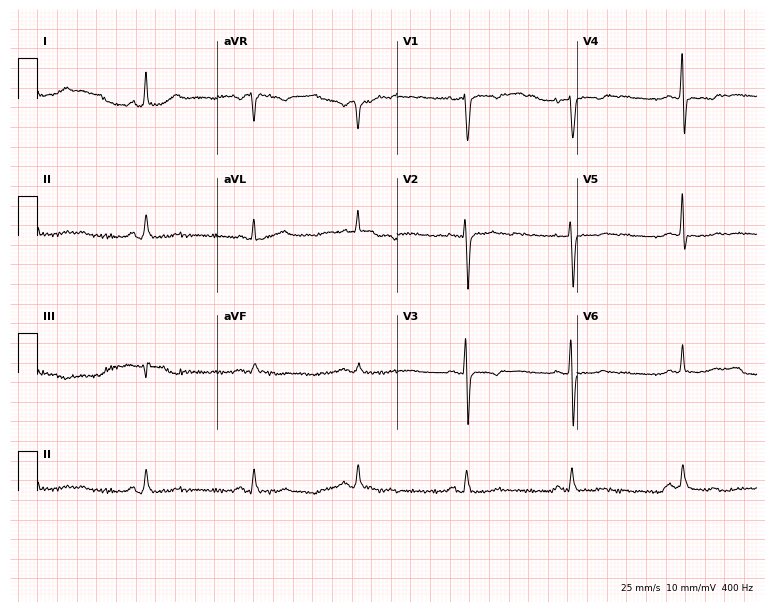
Electrocardiogram (7.3-second recording at 400 Hz), a female patient, 51 years old. Of the six screened findings (first-degree AV block, right bundle branch block (RBBB), left bundle branch block (LBBB), sinus bradycardia, atrial fibrillation (AF), sinus tachycardia), none is recorded.